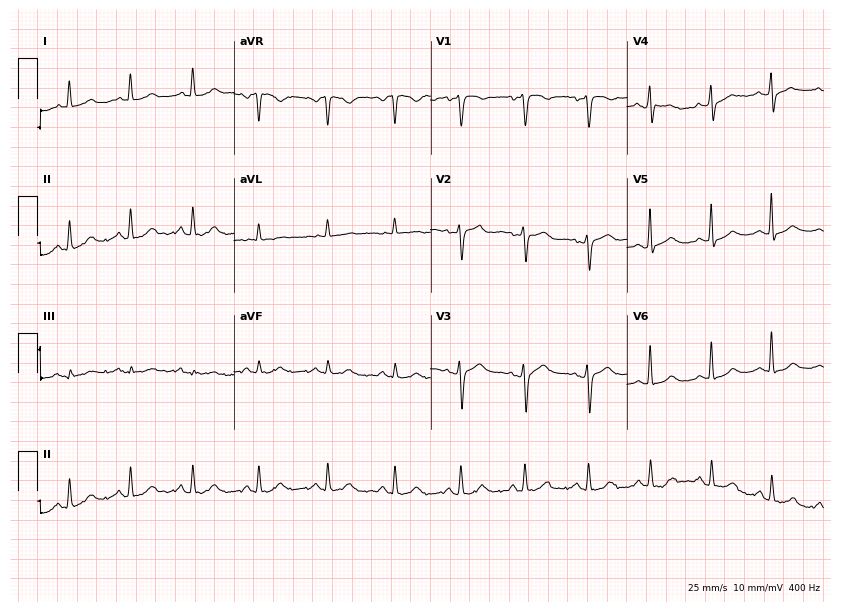
ECG — a 45-year-old female. Screened for six findings — first-degree AV block, right bundle branch block, left bundle branch block, sinus bradycardia, atrial fibrillation, sinus tachycardia — none is recorded.